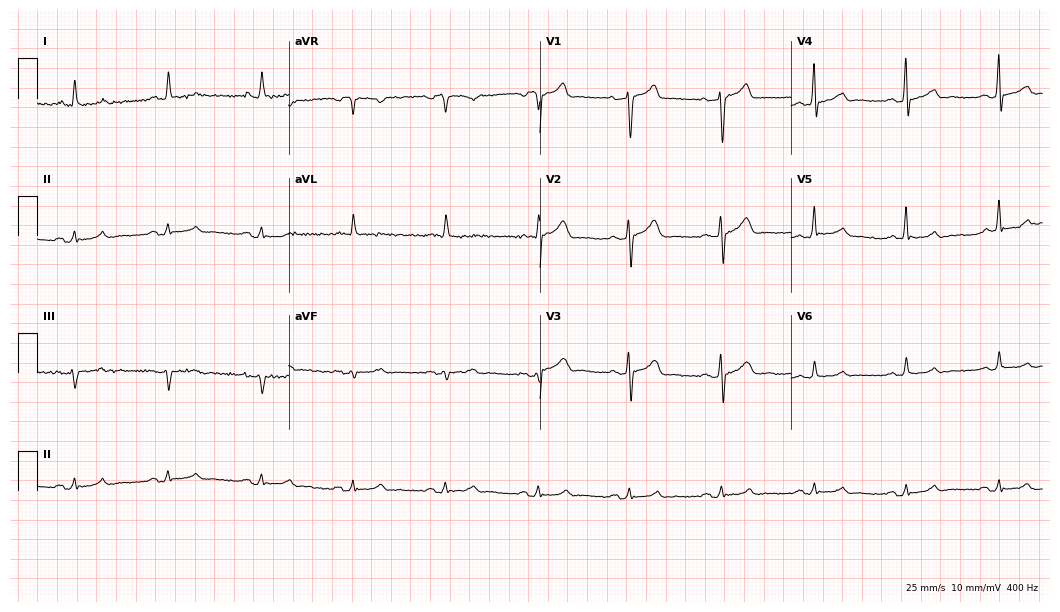
12-lead ECG (10.2-second recording at 400 Hz) from a man, 71 years old. Labelled as a normal ECG.